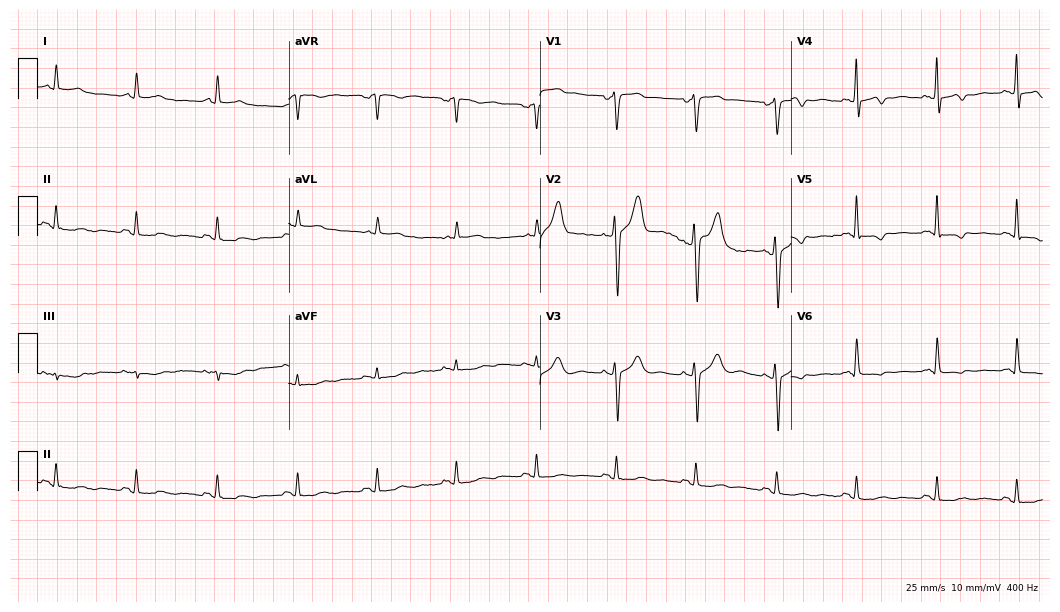
Electrocardiogram, a 78-year-old male patient. Of the six screened findings (first-degree AV block, right bundle branch block (RBBB), left bundle branch block (LBBB), sinus bradycardia, atrial fibrillation (AF), sinus tachycardia), none is recorded. Only these six findings were labelled.